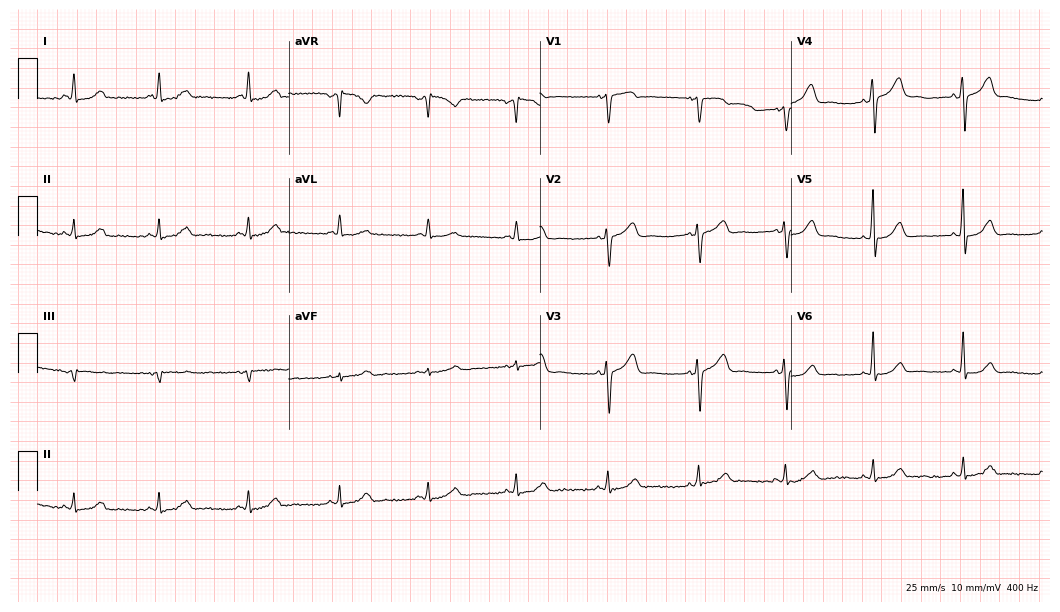
Standard 12-lead ECG recorded from a 54-year-old female patient (10.2-second recording at 400 Hz). Read as a normal ECG.